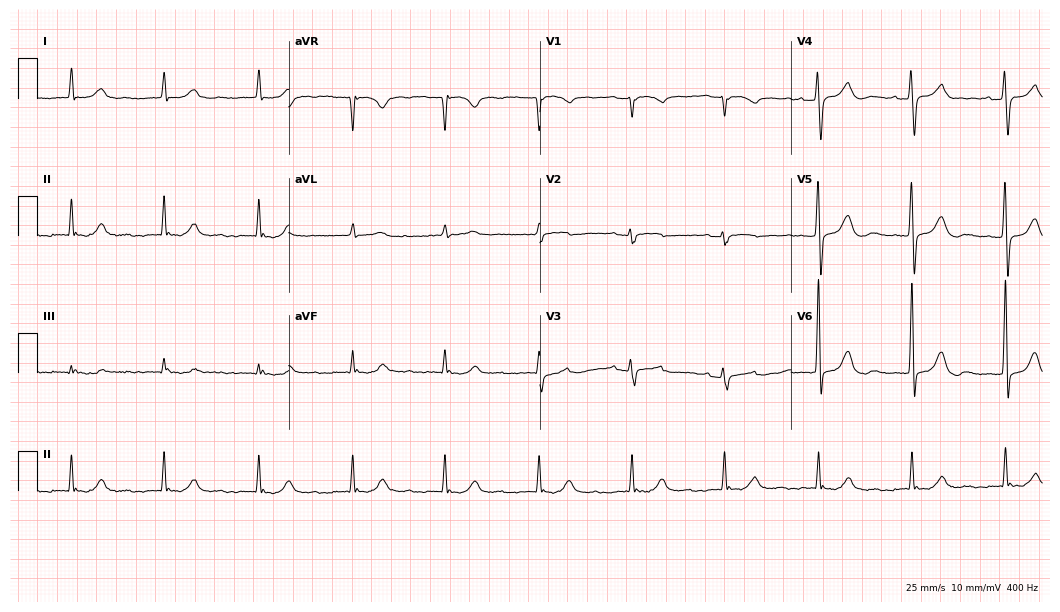
Electrocardiogram (10.2-second recording at 400 Hz), a female, 84 years old. Overall reading on record: normal ECG.